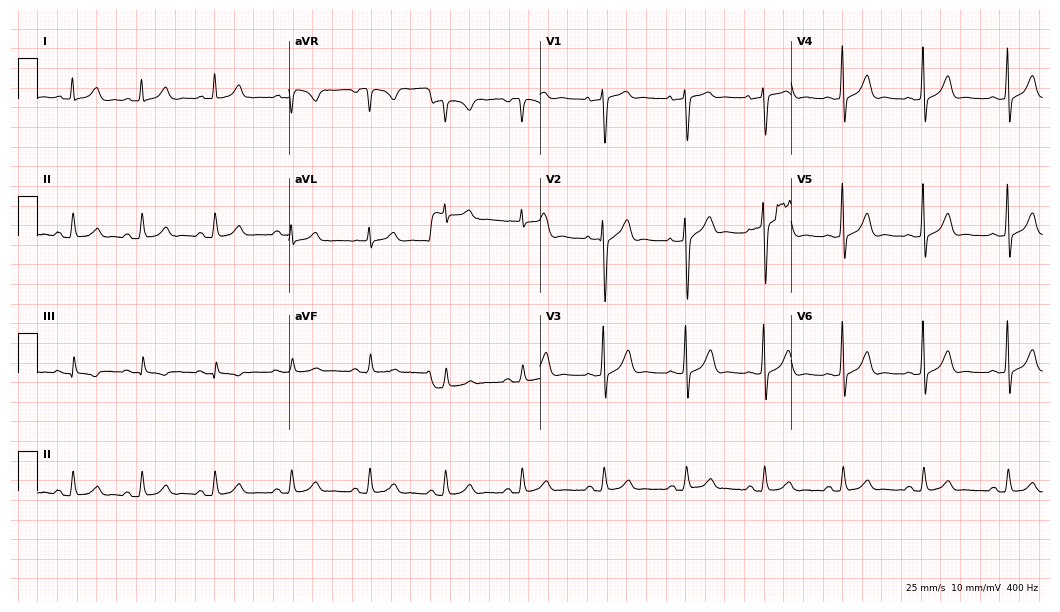
12-lead ECG from a male patient, 58 years old. No first-degree AV block, right bundle branch block, left bundle branch block, sinus bradycardia, atrial fibrillation or sinus tachycardia recorded for this tracing. Other findings, if any, are not listed.